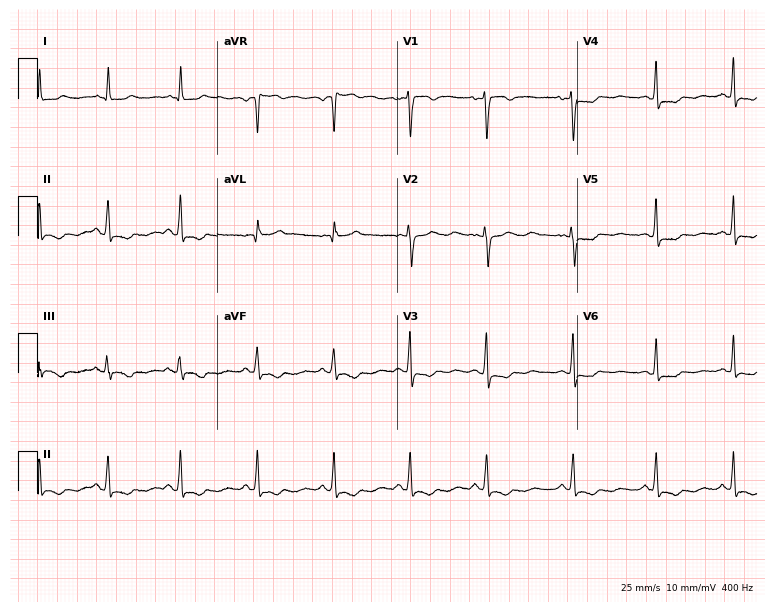
Resting 12-lead electrocardiogram (7.3-second recording at 400 Hz). Patient: a female, 28 years old. None of these six findings is recorded: first-degree AV block, right bundle branch block, left bundle branch block, sinus bradycardia, atrial fibrillation, sinus tachycardia.